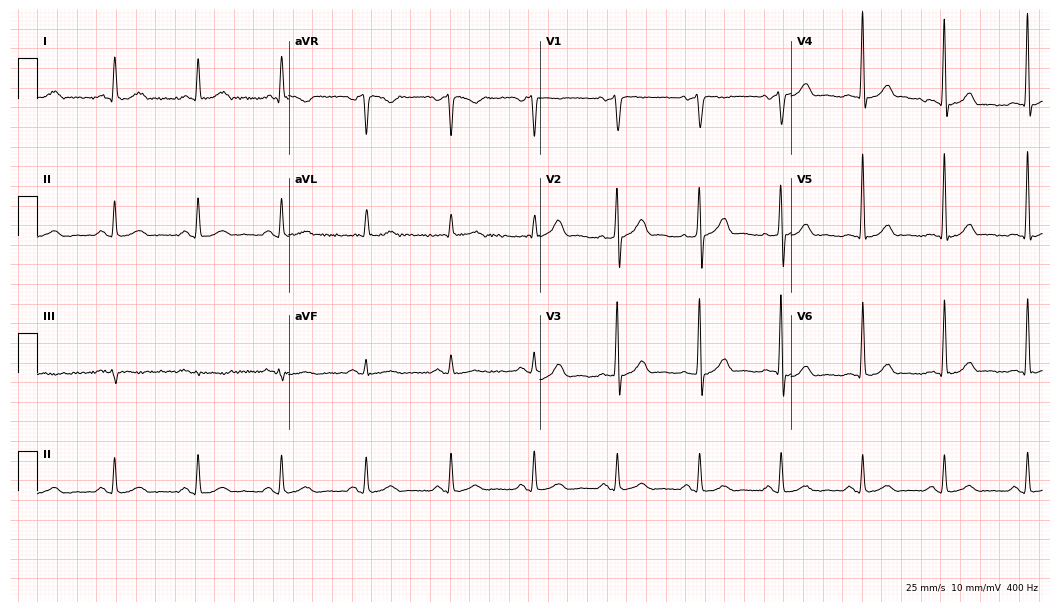
12-lead ECG from a male, 60 years old. No first-degree AV block, right bundle branch block, left bundle branch block, sinus bradycardia, atrial fibrillation or sinus tachycardia recorded for this tracing. Only these six findings were labelled.